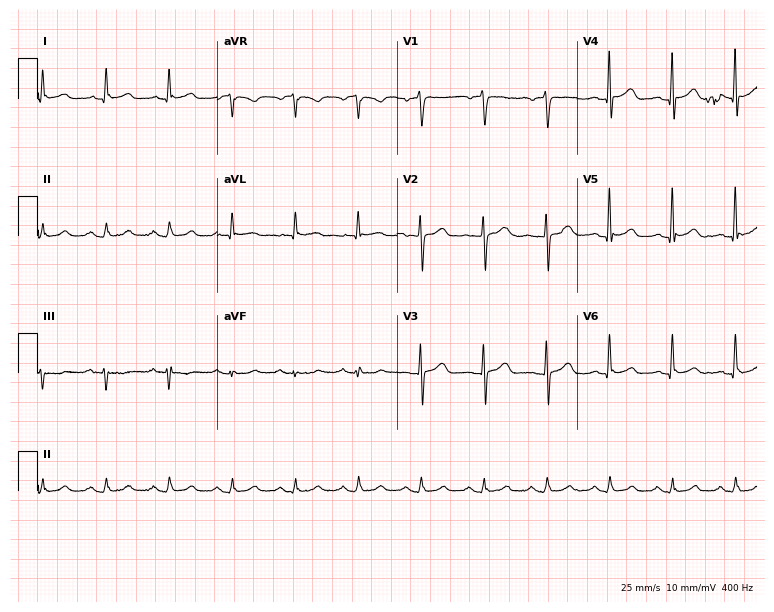
12-lead ECG from a man, 79 years old. Recorded interpretation: within normal limits.